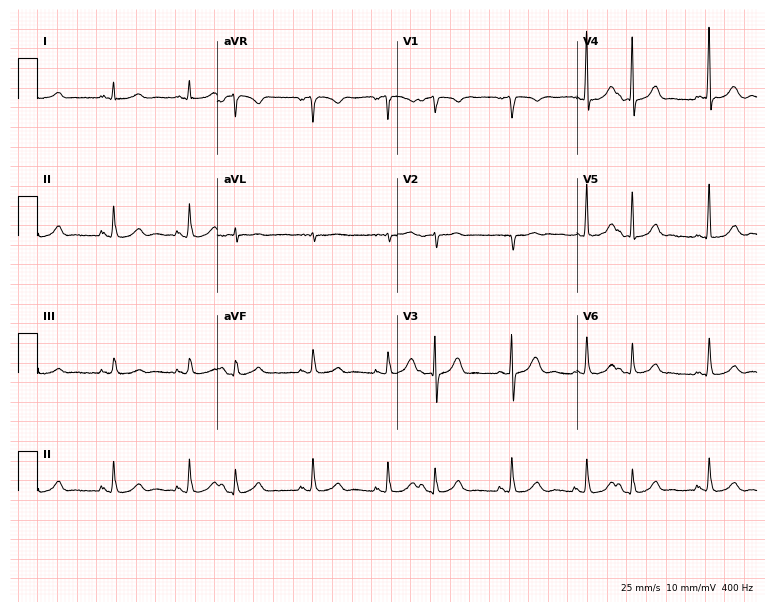
Standard 12-lead ECG recorded from a 64-year-old male patient (7.3-second recording at 400 Hz). None of these six findings is recorded: first-degree AV block, right bundle branch block (RBBB), left bundle branch block (LBBB), sinus bradycardia, atrial fibrillation (AF), sinus tachycardia. Findings outside these six are not listed.